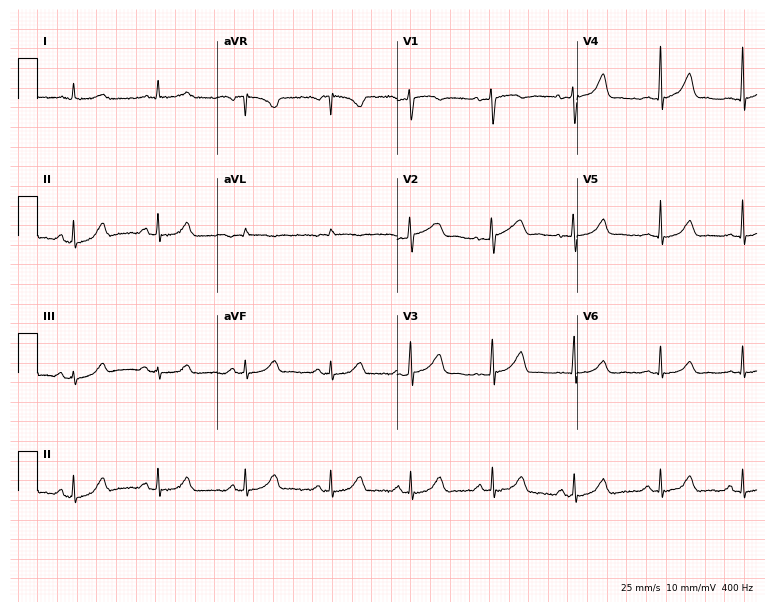
12-lead ECG from a female patient, 39 years old (7.3-second recording at 400 Hz). No first-degree AV block, right bundle branch block (RBBB), left bundle branch block (LBBB), sinus bradycardia, atrial fibrillation (AF) or sinus tachycardia recorded for this tracing.